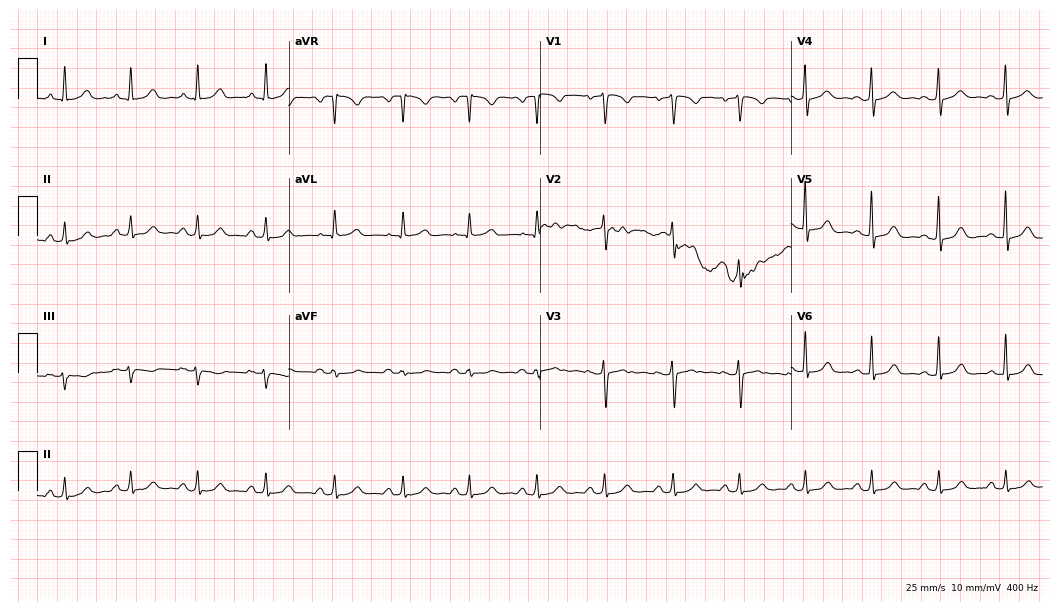
12-lead ECG from a woman, 41 years old (10.2-second recording at 400 Hz). Recorded interpretation: within normal limits.